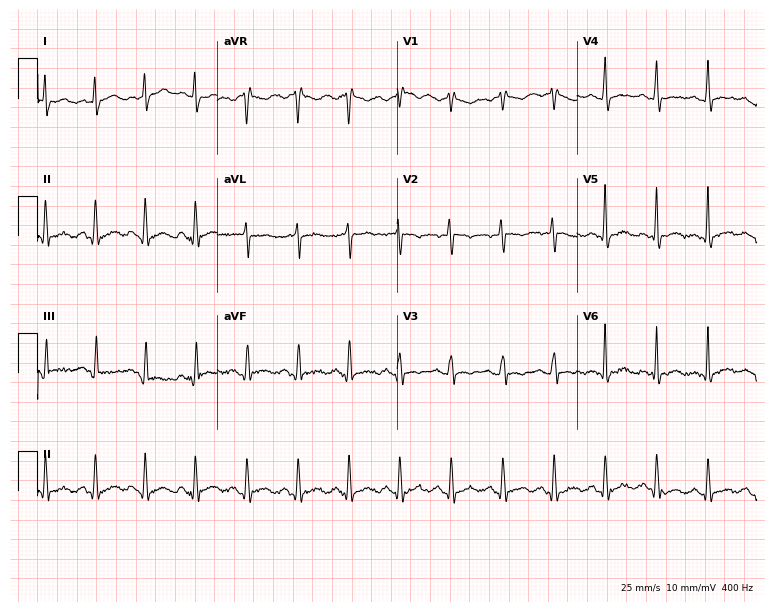
Electrocardiogram, a 19-year-old man. Interpretation includes sinus tachycardia (a sinus rate of 100 beats per minute or more).